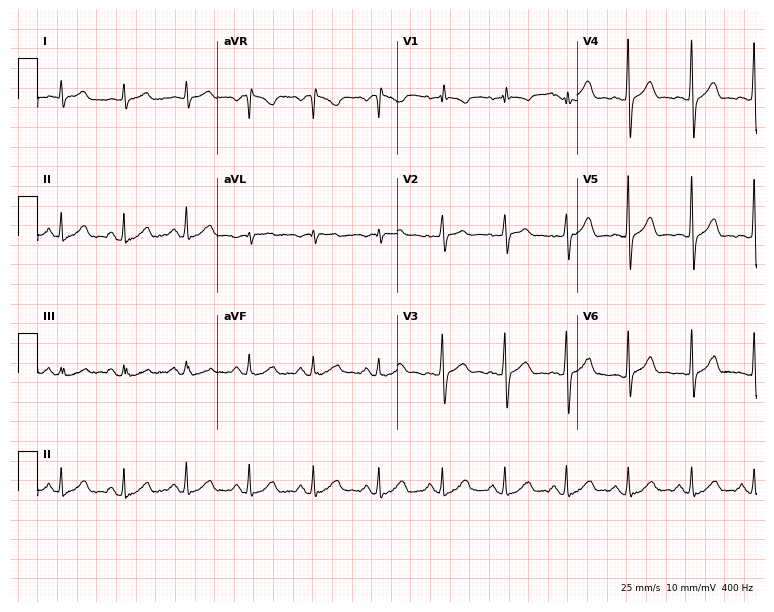
12-lead ECG from a male, 61 years old. No first-degree AV block, right bundle branch block (RBBB), left bundle branch block (LBBB), sinus bradycardia, atrial fibrillation (AF) or sinus tachycardia recorded for this tracing. Only these six findings were labelled.